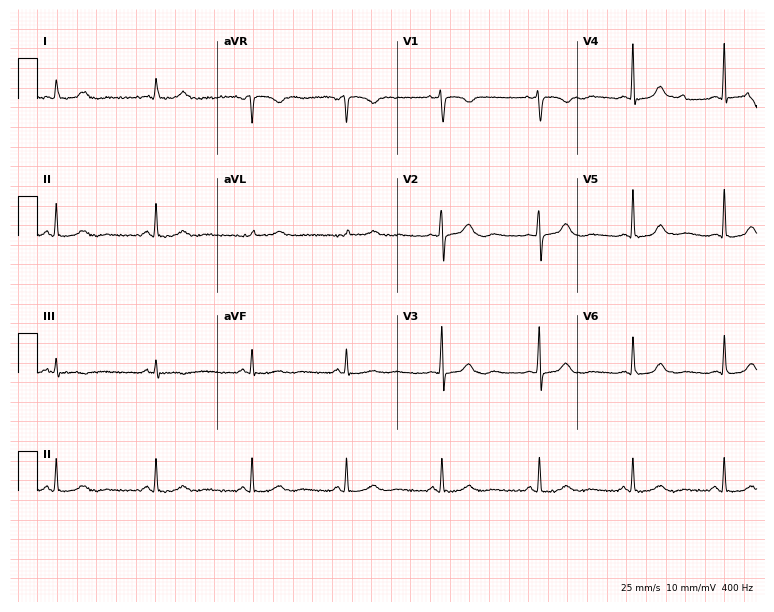
Electrocardiogram (7.3-second recording at 400 Hz), a female patient, 46 years old. Overall reading on record: normal ECG.